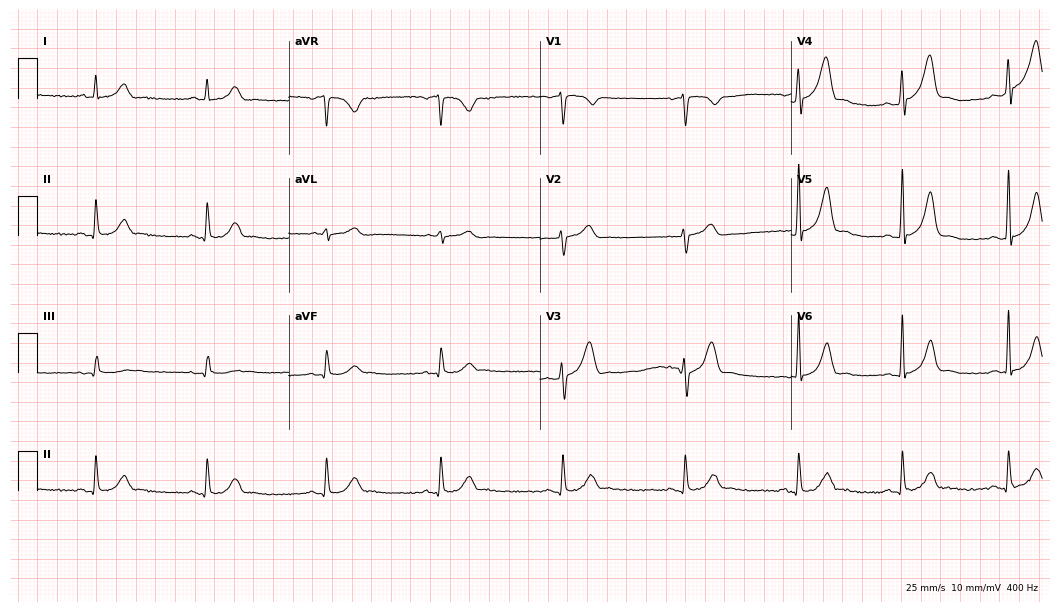
Standard 12-lead ECG recorded from a man, 51 years old. Read as a normal ECG.